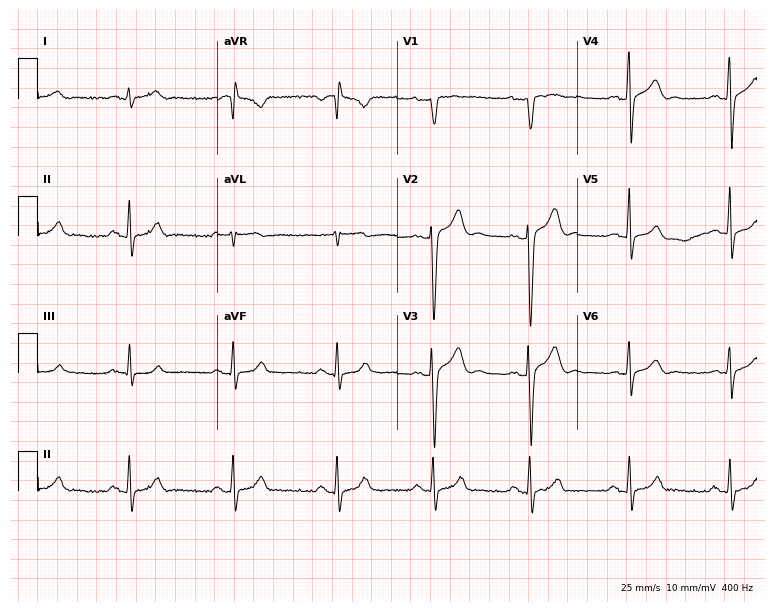
12-lead ECG (7.3-second recording at 400 Hz) from a 32-year-old male. Screened for six findings — first-degree AV block, right bundle branch block, left bundle branch block, sinus bradycardia, atrial fibrillation, sinus tachycardia — none is recorded.